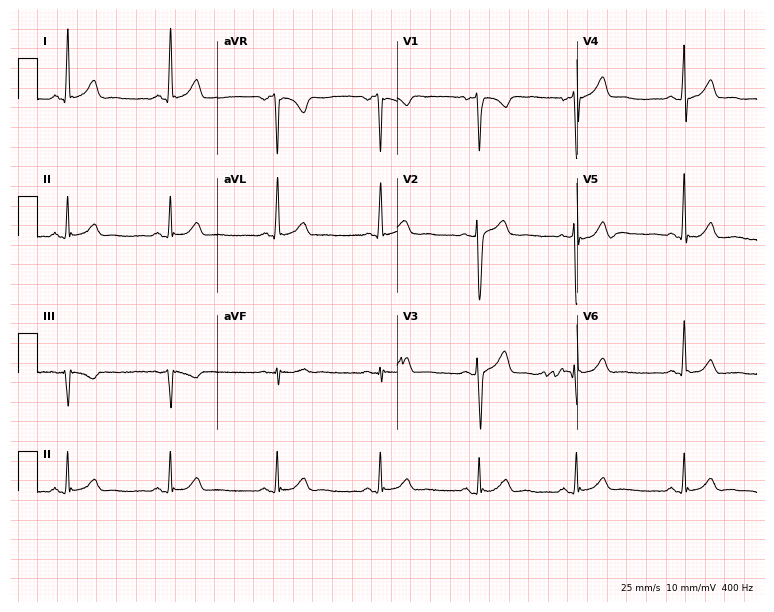
12-lead ECG (7.3-second recording at 400 Hz) from a man, 45 years old. Labelled as a normal ECG.